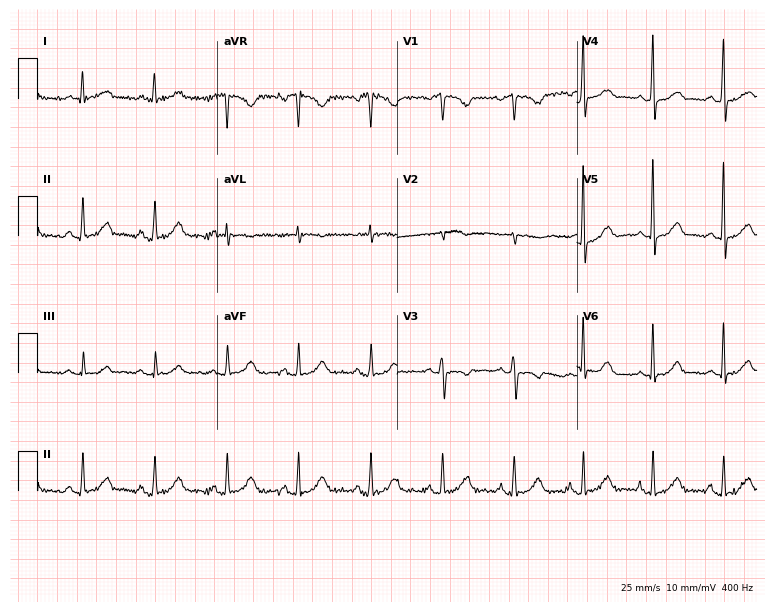
ECG (7.3-second recording at 400 Hz) — a 49-year-old woman. Screened for six findings — first-degree AV block, right bundle branch block (RBBB), left bundle branch block (LBBB), sinus bradycardia, atrial fibrillation (AF), sinus tachycardia — none is recorded. Findings outside these six are not listed.